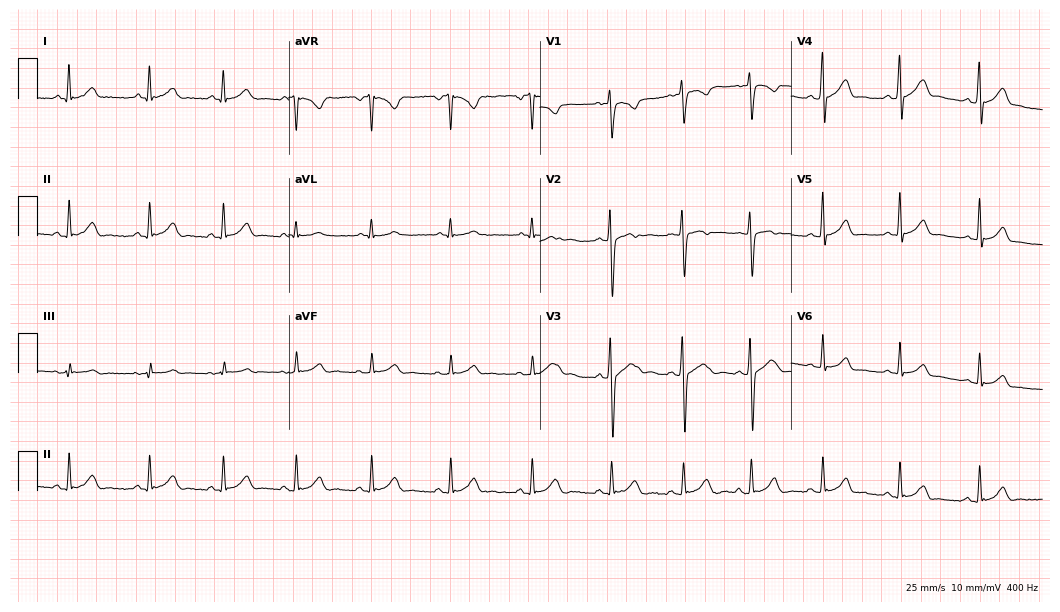
Standard 12-lead ECG recorded from a male patient, 18 years old (10.2-second recording at 400 Hz). Read as a normal ECG.